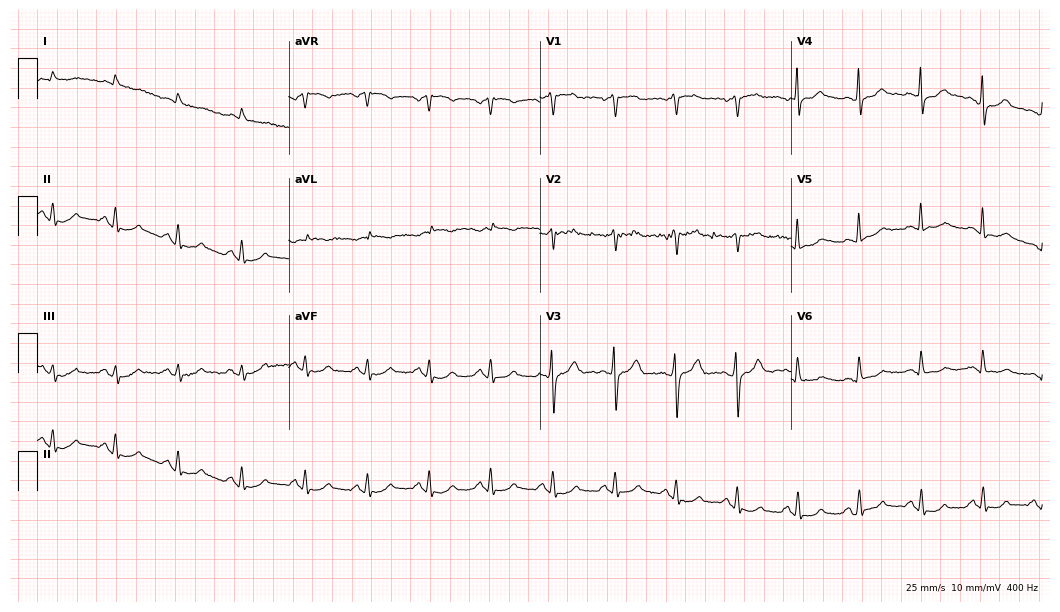
ECG — a 71-year-old male patient. Screened for six findings — first-degree AV block, right bundle branch block, left bundle branch block, sinus bradycardia, atrial fibrillation, sinus tachycardia — none is recorded.